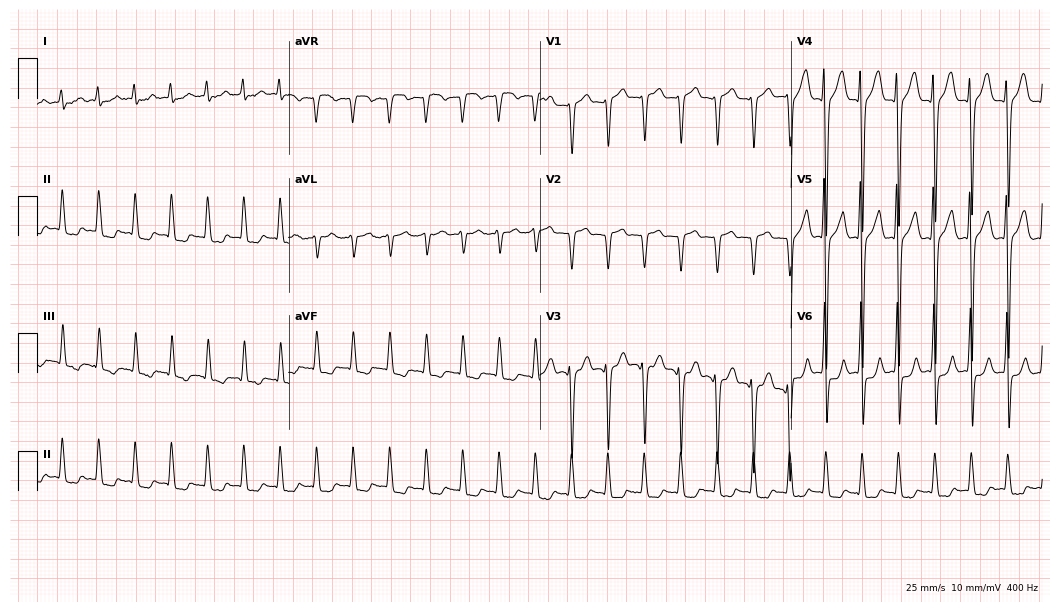
Standard 12-lead ECG recorded from a 75-year-old male patient. None of these six findings is recorded: first-degree AV block, right bundle branch block (RBBB), left bundle branch block (LBBB), sinus bradycardia, atrial fibrillation (AF), sinus tachycardia. Other findings, if any, are not listed.